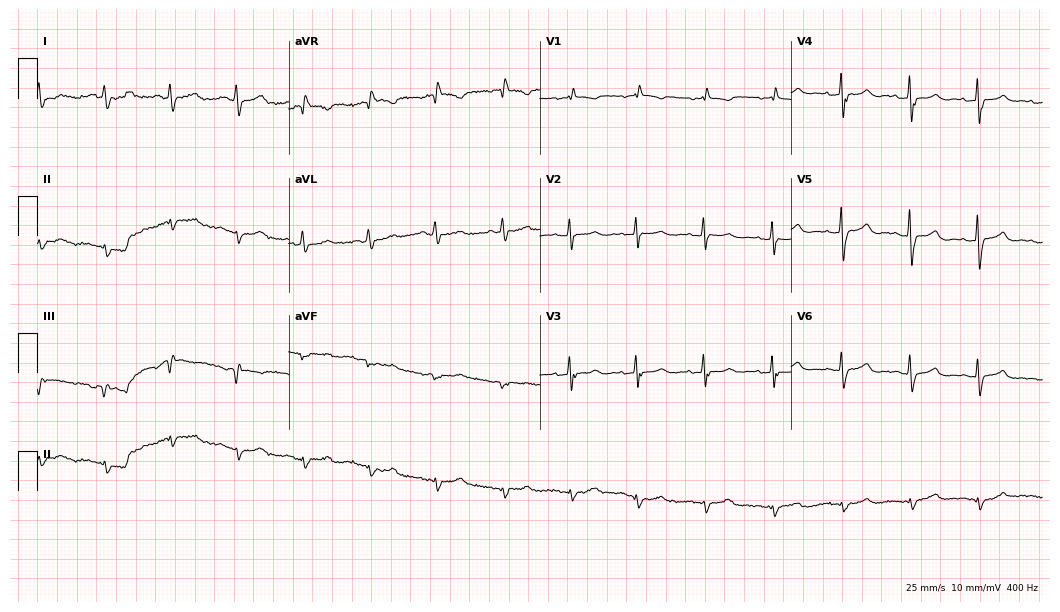
12-lead ECG (10.2-second recording at 400 Hz) from a woman, 85 years old. Screened for six findings — first-degree AV block, right bundle branch block (RBBB), left bundle branch block (LBBB), sinus bradycardia, atrial fibrillation (AF), sinus tachycardia — none is recorded. Findings outside these six are not listed.